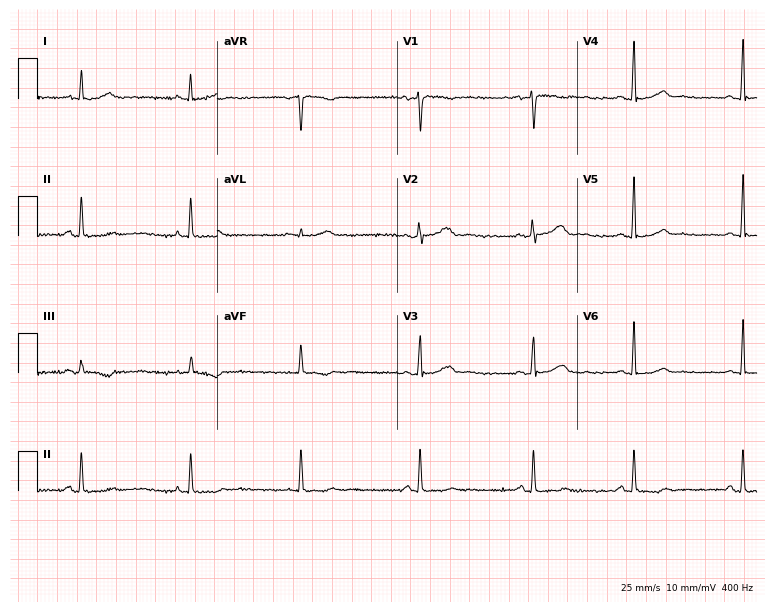
Electrocardiogram (7.3-second recording at 400 Hz), a 43-year-old female patient. Overall reading on record: normal ECG.